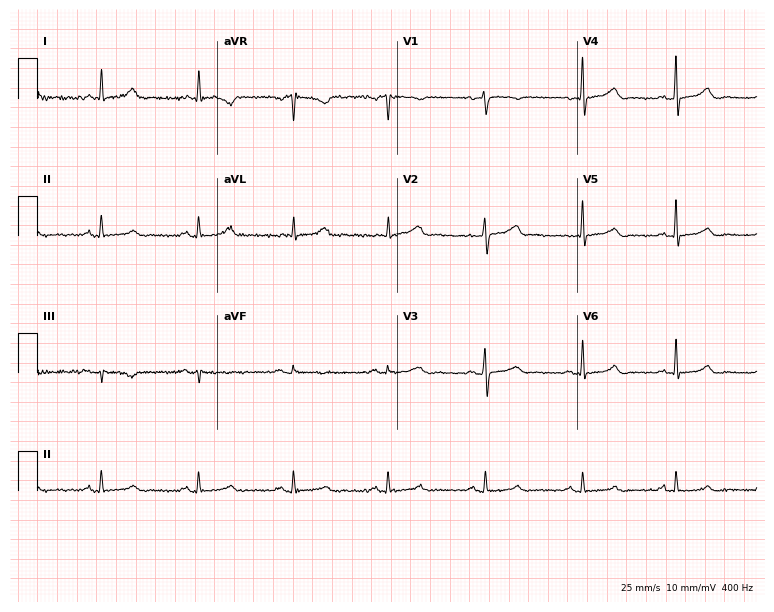
12-lead ECG from a 61-year-old female patient. Recorded interpretation: within normal limits.